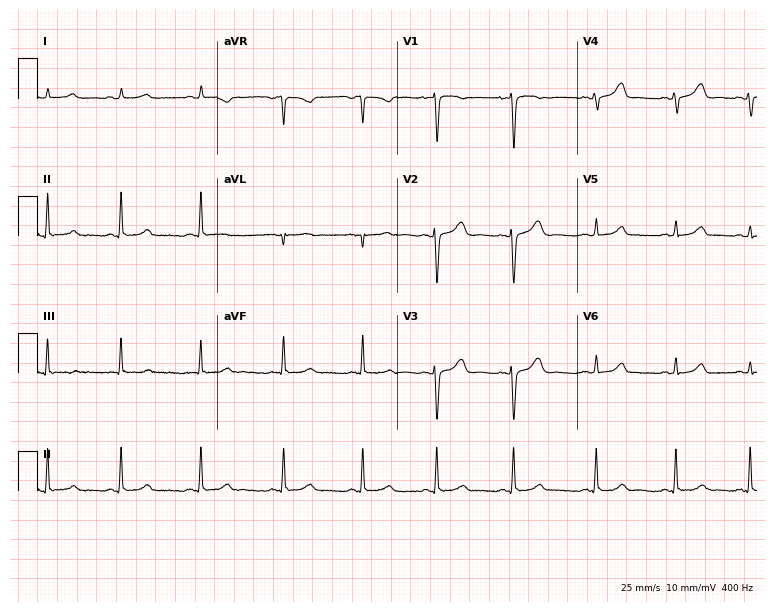
Resting 12-lead electrocardiogram. Patient: a 20-year-old female. None of these six findings is recorded: first-degree AV block, right bundle branch block, left bundle branch block, sinus bradycardia, atrial fibrillation, sinus tachycardia. Only these six findings were labelled.